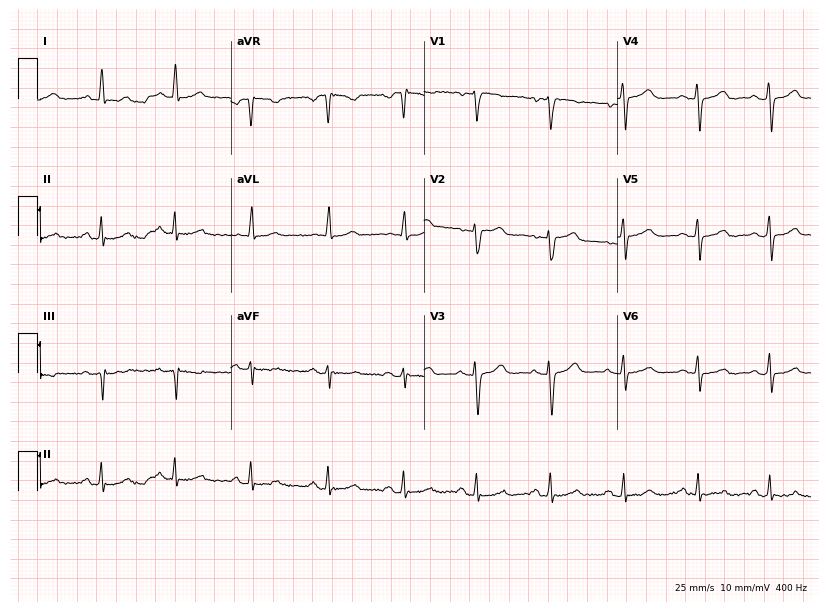
Standard 12-lead ECG recorded from a 50-year-old female (7.9-second recording at 400 Hz). None of these six findings is recorded: first-degree AV block, right bundle branch block, left bundle branch block, sinus bradycardia, atrial fibrillation, sinus tachycardia.